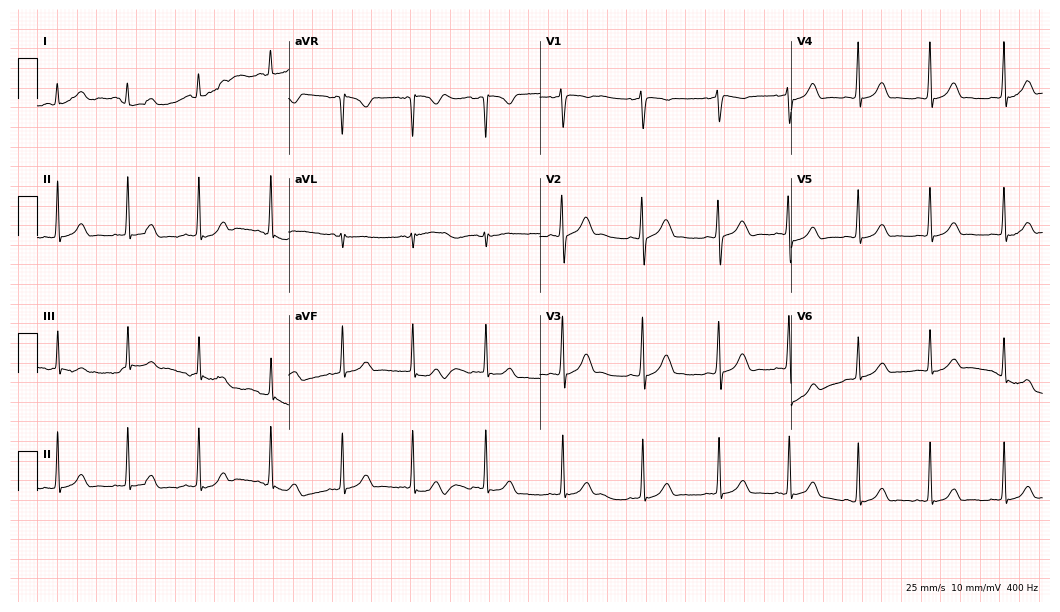
12-lead ECG from a 19-year-old female patient (10.2-second recording at 400 Hz). Recorded interpretation: within normal limits.